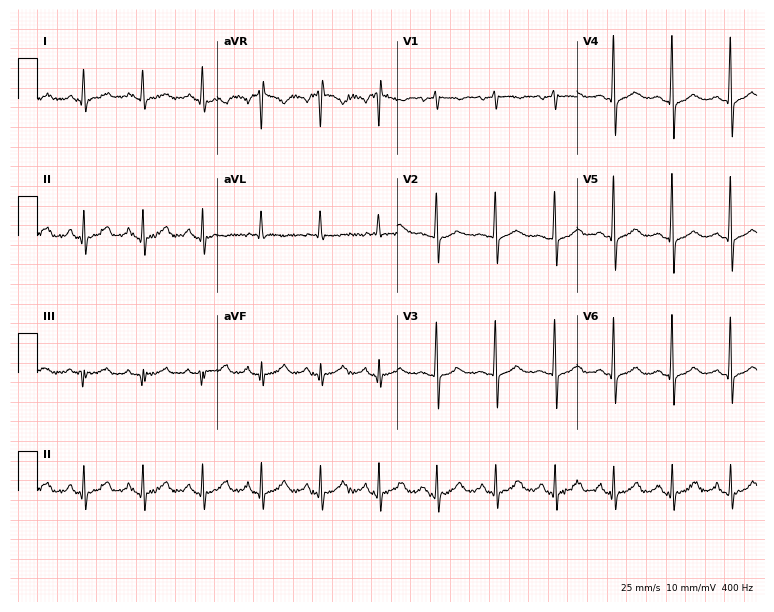
ECG — a female, 71 years old. Screened for six findings — first-degree AV block, right bundle branch block (RBBB), left bundle branch block (LBBB), sinus bradycardia, atrial fibrillation (AF), sinus tachycardia — none is recorded. Findings outside these six are not listed.